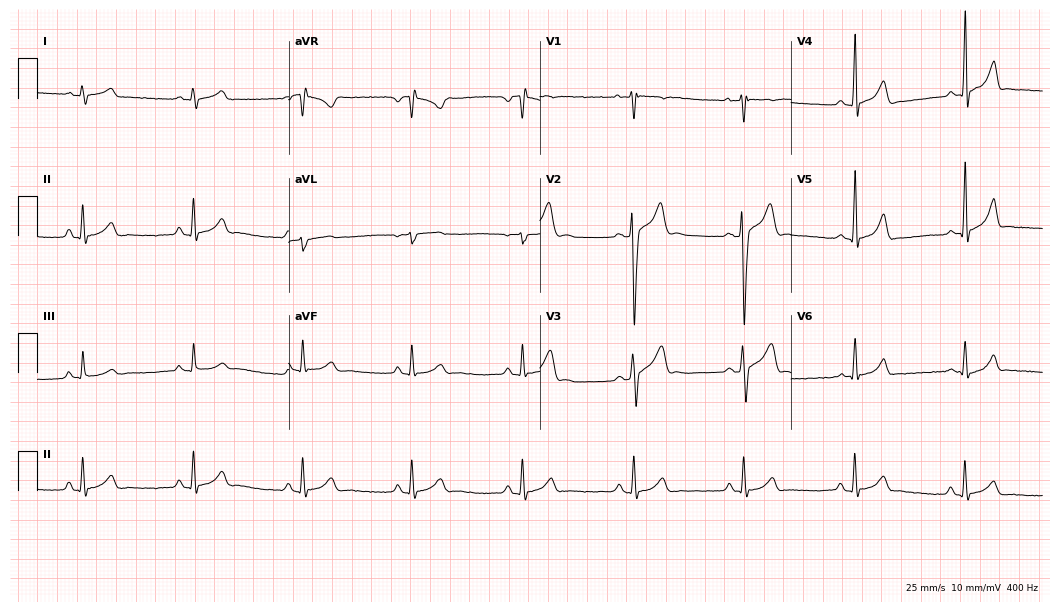
Electrocardiogram (10.2-second recording at 400 Hz), a 19-year-old male. Overall reading on record: normal ECG.